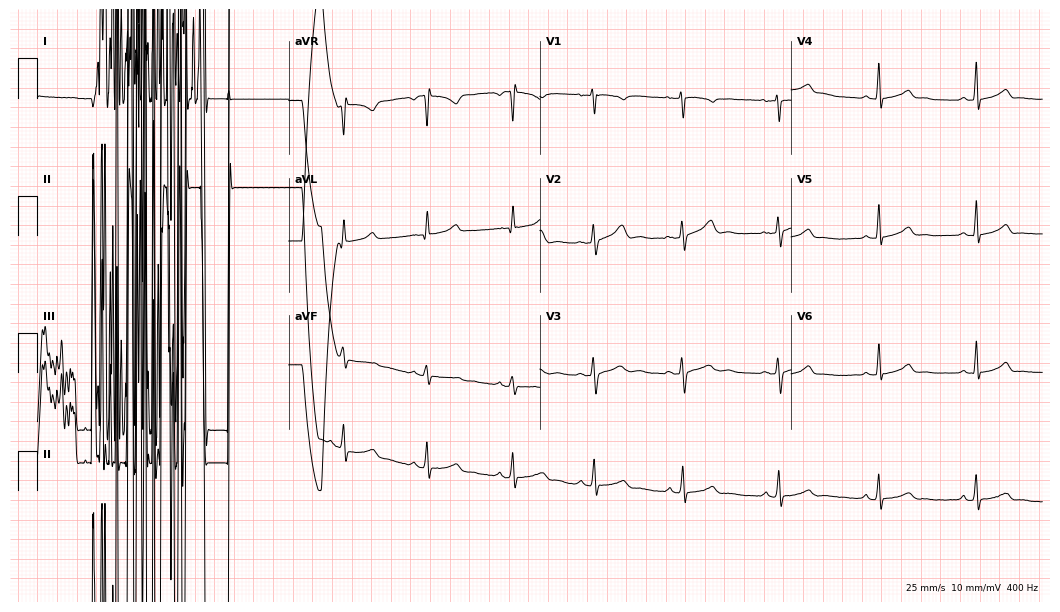
Electrocardiogram (10.2-second recording at 400 Hz), a 37-year-old woman. Of the six screened findings (first-degree AV block, right bundle branch block, left bundle branch block, sinus bradycardia, atrial fibrillation, sinus tachycardia), none is recorded.